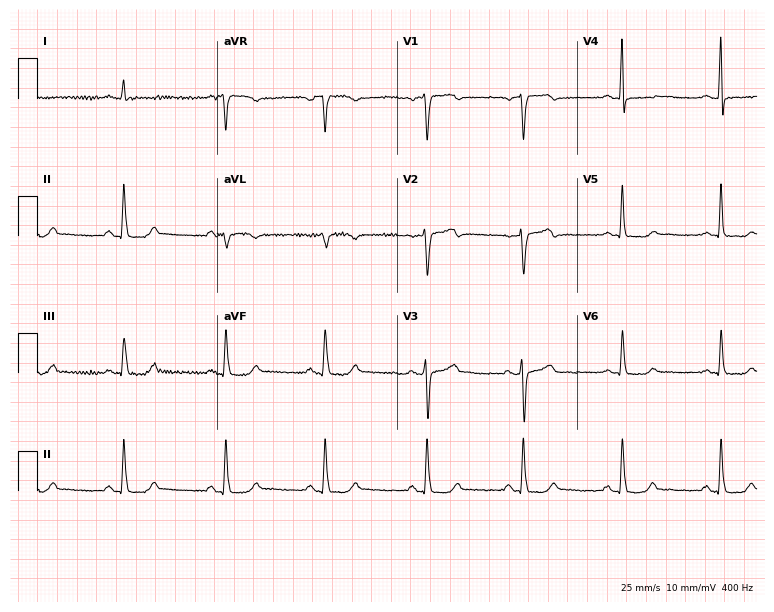
12-lead ECG from a female, 36 years old. Labelled as a normal ECG.